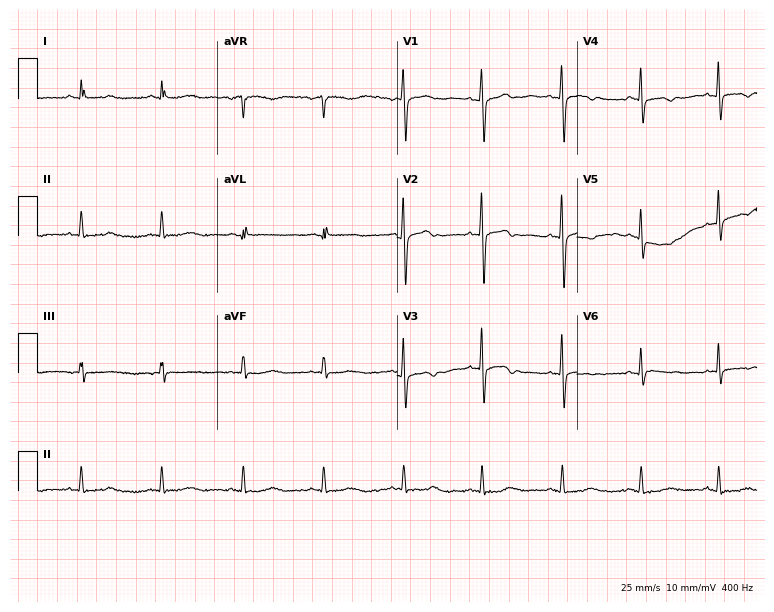
12-lead ECG from a 51-year-old female patient. Screened for six findings — first-degree AV block, right bundle branch block (RBBB), left bundle branch block (LBBB), sinus bradycardia, atrial fibrillation (AF), sinus tachycardia — none is recorded. Findings outside these six are not listed.